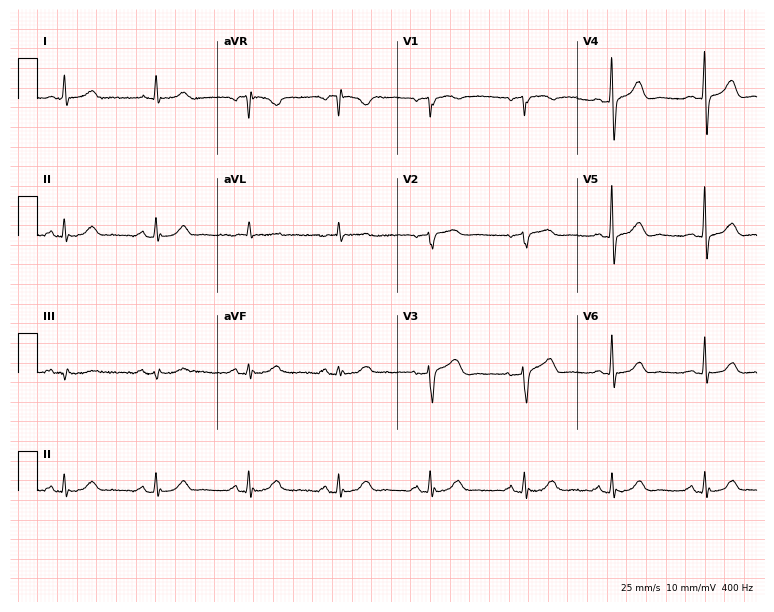
12-lead ECG from a woman, 68 years old (7.3-second recording at 400 Hz). No first-degree AV block, right bundle branch block, left bundle branch block, sinus bradycardia, atrial fibrillation or sinus tachycardia recorded for this tracing.